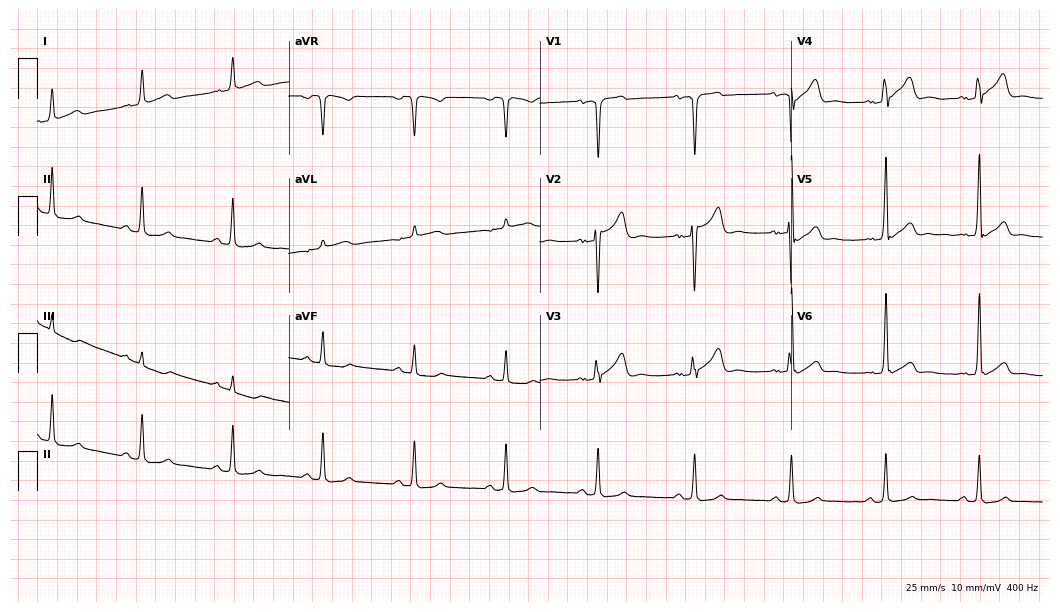
Resting 12-lead electrocardiogram (10.2-second recording at 400 Hz). Patient: a 39-year-old male. Read as a normal ECG.